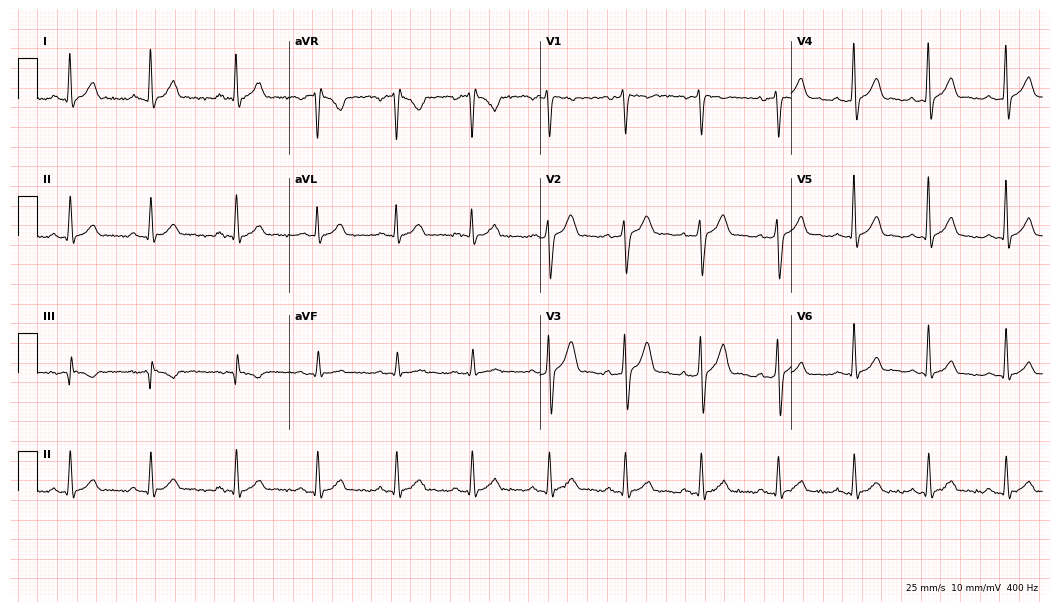
12-lead ECG from a male, 37 years old. Recorded interpretation: within normal limits.